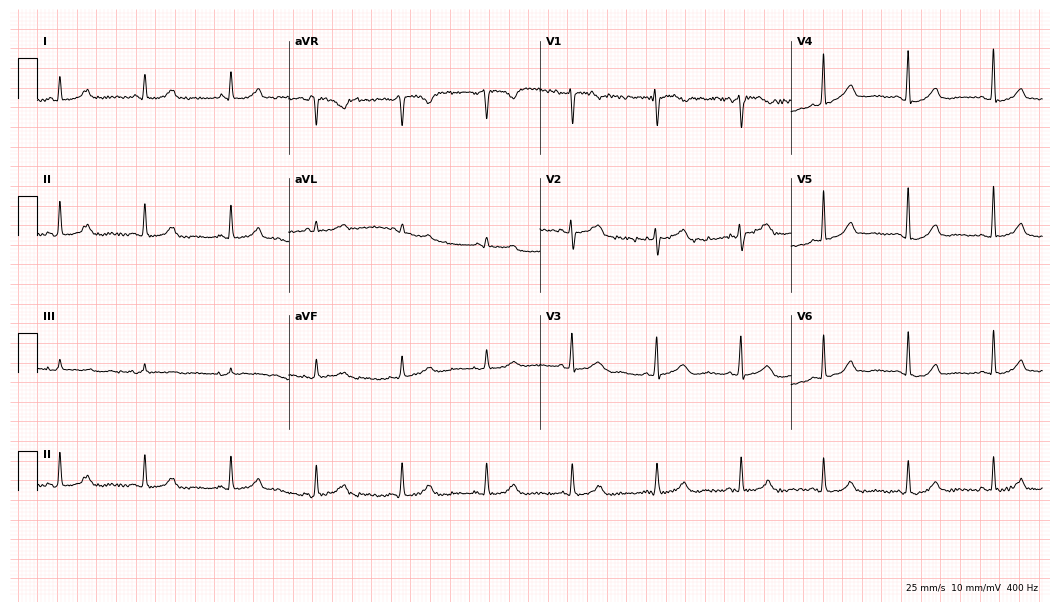
Standard 12-lead ECG recorded from a female, 65 years old. Read as a normal ECG.